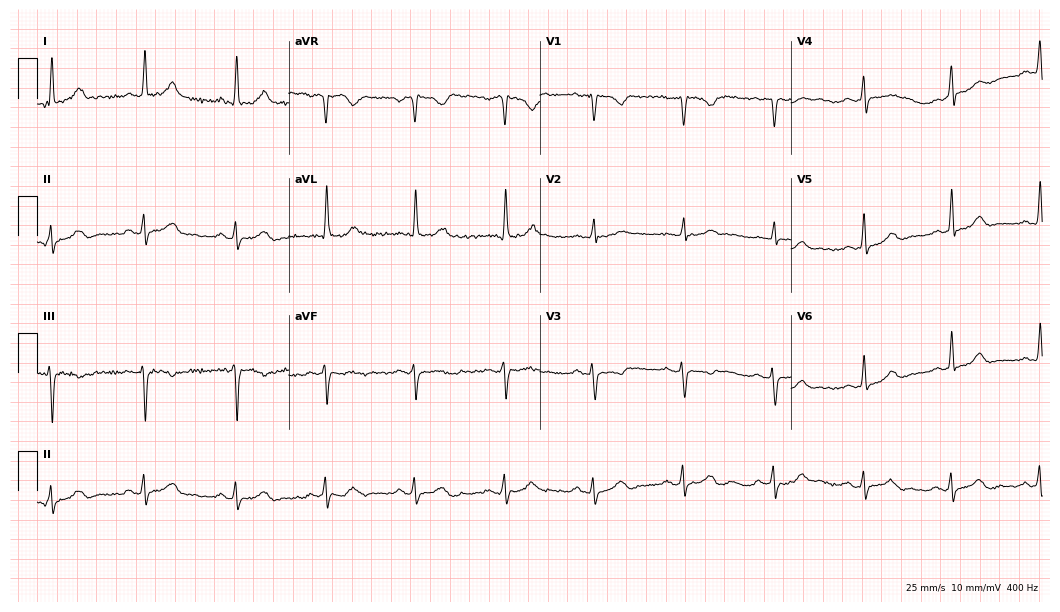
12-lead ECG (10.2-second recording at 400 Hz) from a 44-year-old woman. Screened for six findings — first-degree AV block, right bundle branch block (RBBB), left bundle branch block (LBBB), sinus bradycardia, atrial fibrillation (AF), sinus tachycardia — none is recorded.